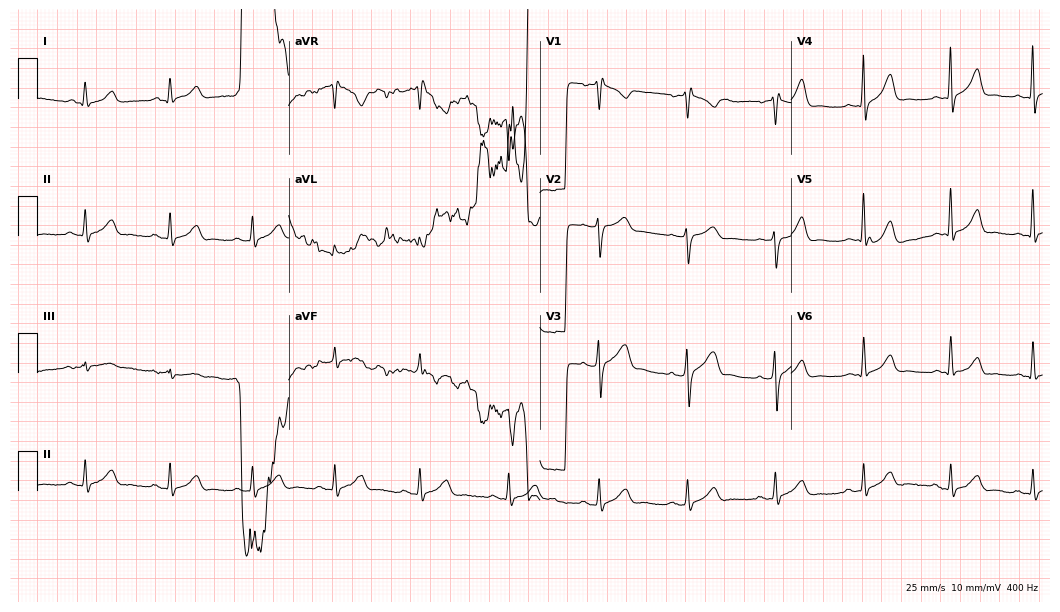
12-lead ECG from a man, 42 years old. No first-degree AV block, right bundle branch block, left bundle branch block, sinus bradycardia, atrial fibrillation or sinus tachycardia recorded for this tracing. Only these six findings were labelled.